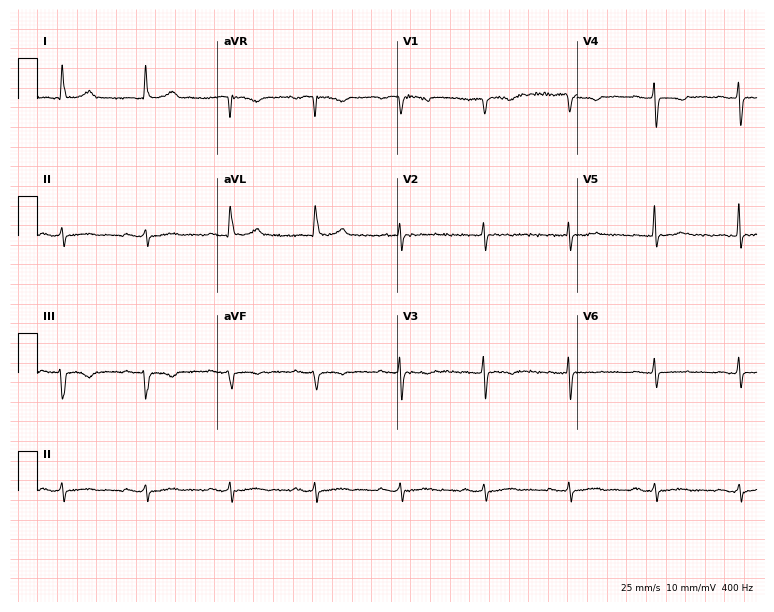
Electrocardiogram (7.3-second recording at 400 Hz), a female, 67 years old. Of the six screened findings (first-degree AV block, right bundle branch block, left bundle branch block, sinus bradycardia, atrial fibrillation, sinus tachycardia), none is recorded. Other findings, if any, are not listed.